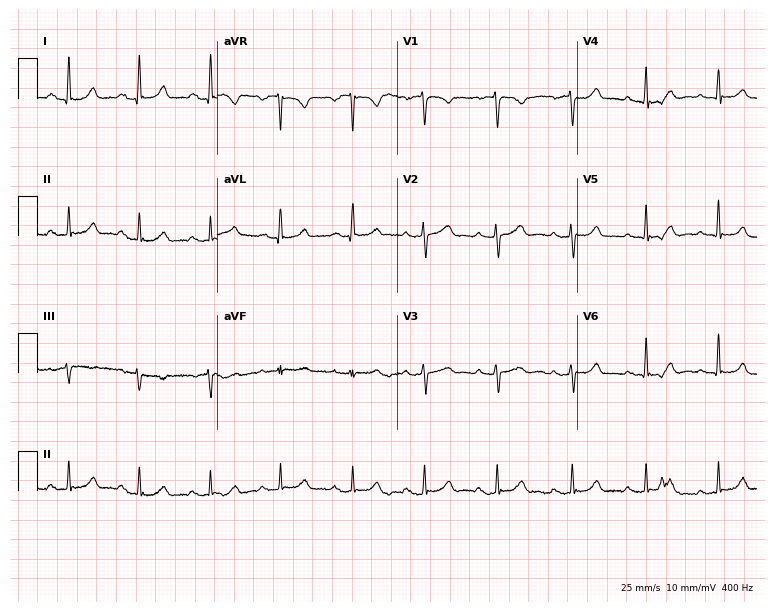
12-lead ECG from a female, 34 years old. Recorded interpretation: within normal limits.